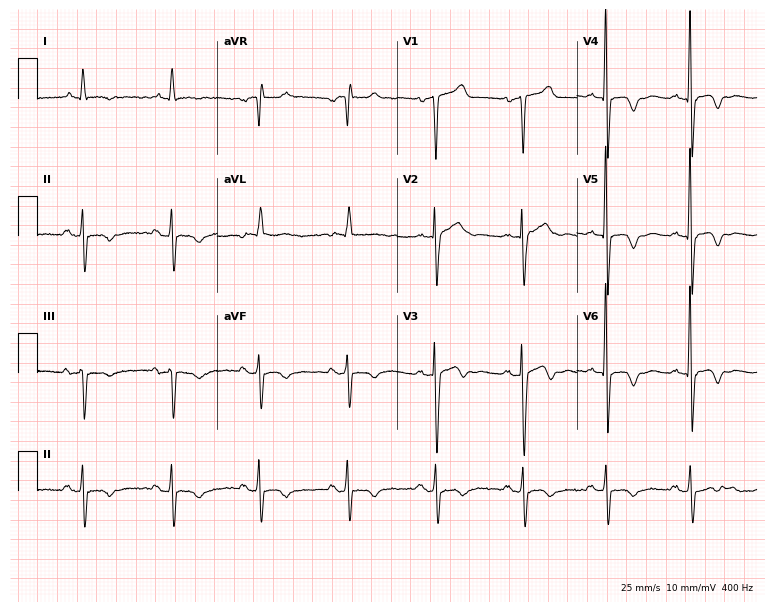
Electrocardiogram, a male patient, 76 years old. Of the six screened findings (first-degree AV block, right bundle branch block, left bundle branch block, sinus bradycardia, atrial fibrillation, sinus tachycardia), none is recorded.